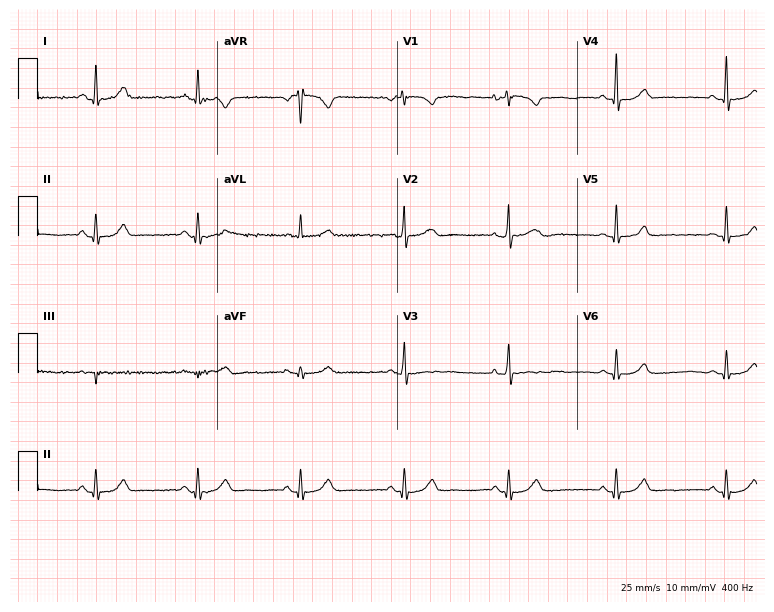
Resting 12-lead electrocardiogram. Patient: a 35-year-old female. Read as a normal ECG.